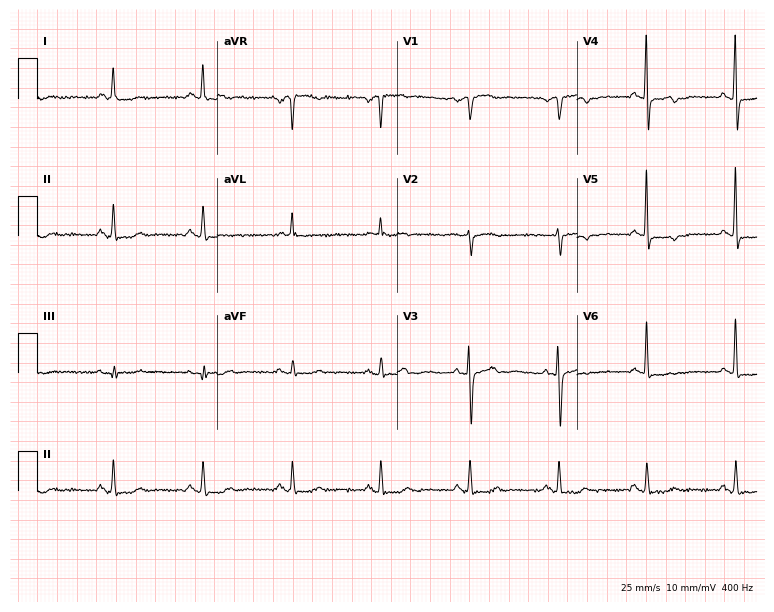
12-lead ECG from a 72-year-old woman (7.3-second recording at 400 Hz). No first-degree AV block, right bundle branch block (RBBB), left bundle branch block (LBBB), sinus bradycardia, atrial fibrillation (AF) or sinus tachycardia recorded for this tracing. Findings outside these six are not listed.